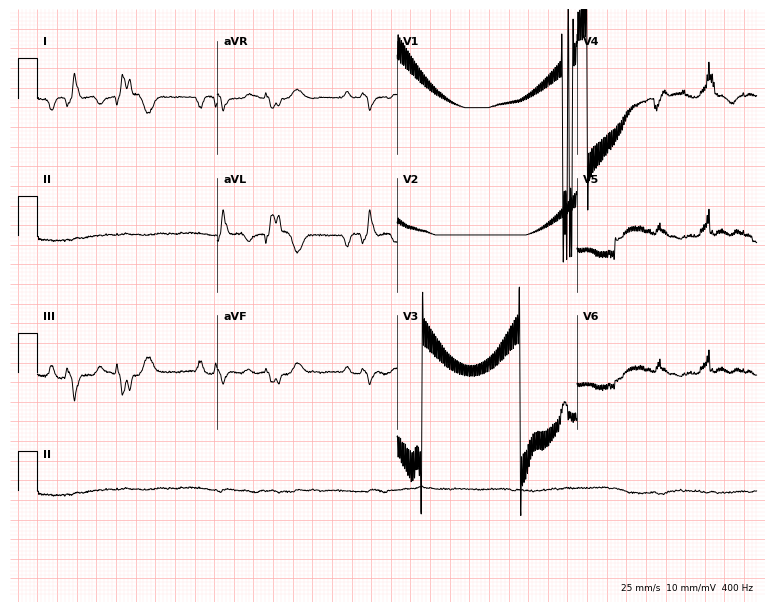
12-lead ECG from a 23-year-old female. Screened for six findings — first-degree AV block, right bundle branch block, left bundle branch block, sinus bradycardia, atrial fibrillation, sinus tachycardia — none is recorded.